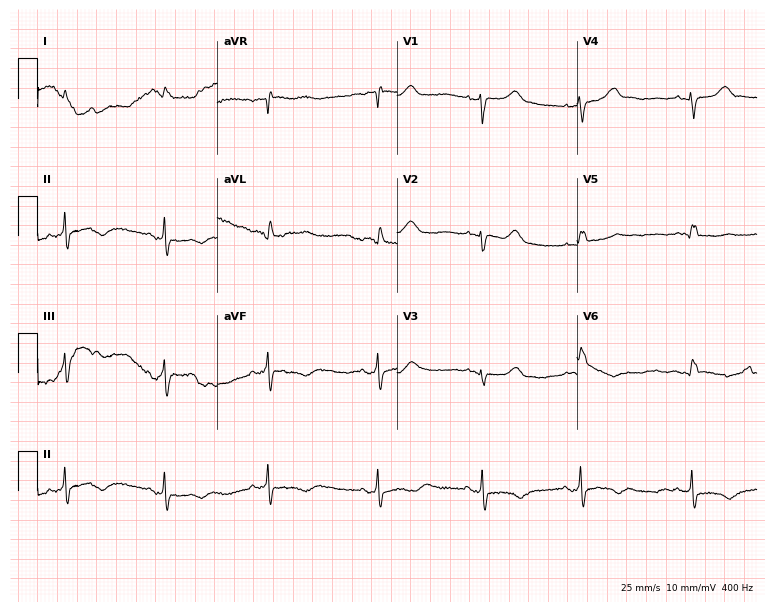
Electrocardiogram (7.3-second recording at 400 Hz), a 63-year-old male. Of the six screened findings (first-degree AV block, right bundle branch block (RBBB), left bundle branch block (LBBB), sinus bradycardia, atrial fibrillation (AF), sinus tachycardia), none is recorded.